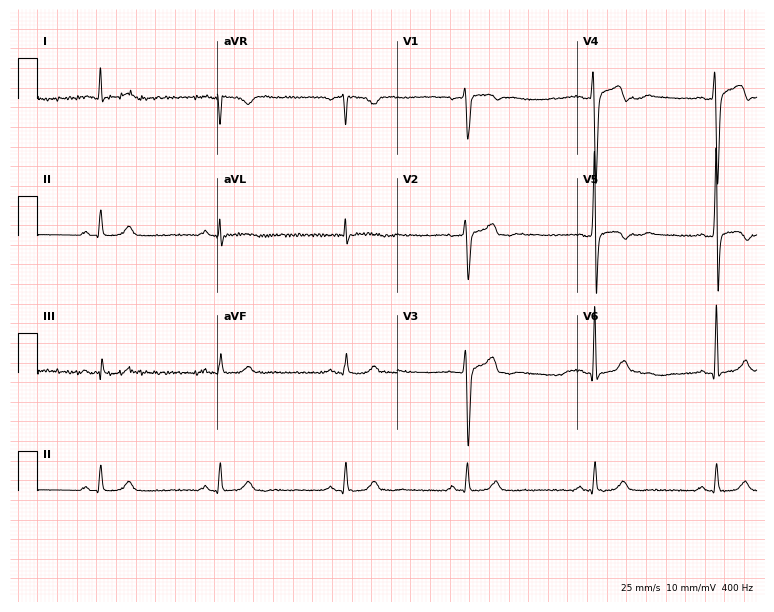
12-lead ECG from a 44-year-old male. Shows sinus bradycardia (a sinus rate of 50 beats per minute or less).